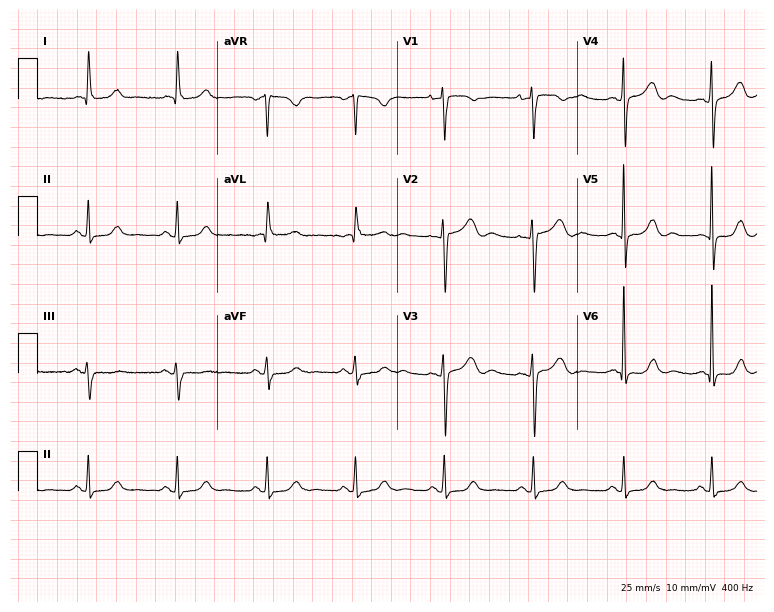
ECG — a female patient, 70 years old. Screened for six findings — first-degree AV block, right bundle branch block, left bundle branch block, sinus bradycardia, atrial fibrillation, sinus tachycardia — none is recorded. Other findings, if any, are not listed.